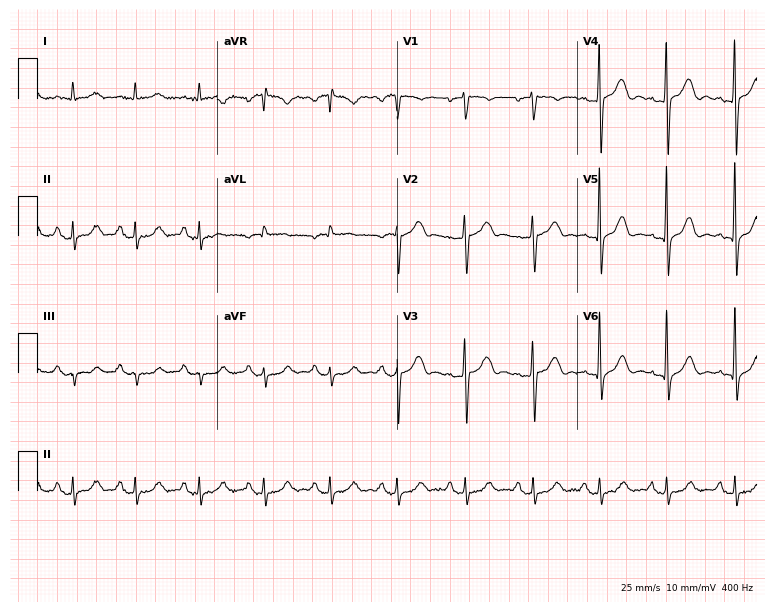
12-lead ECG (7.3-second recording at 400 Hz) from a male patient, 57 years old. Screened for six findings — first-degree AV block, right bundle branch block, left bundle branch block, sinus bradycardia, atrial fibrillation, sinus tachycardia — none is recorded. Only these six findings were labelled.